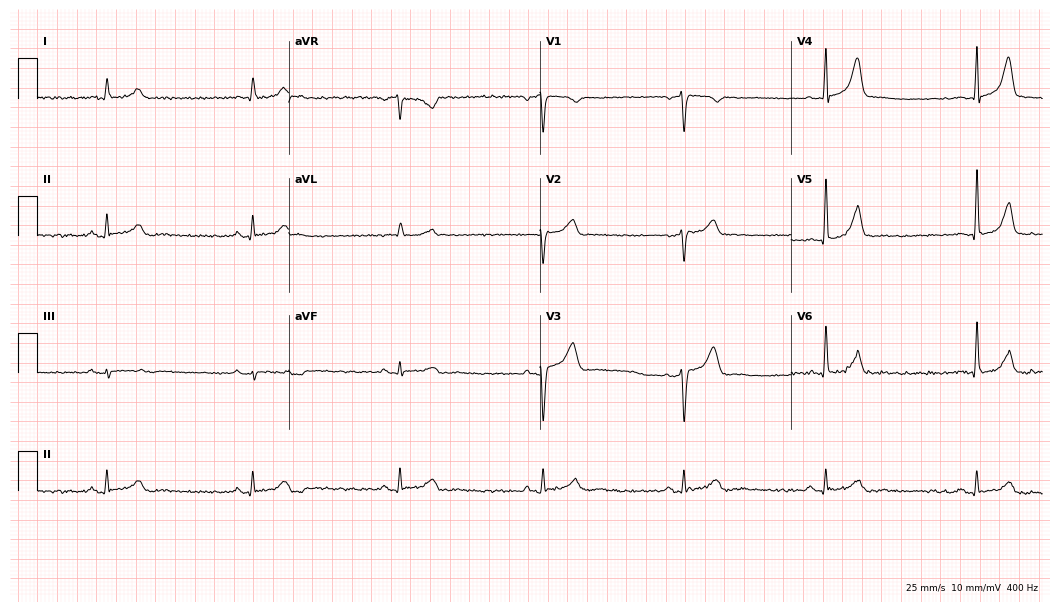
12-lead ECG from a 56-year-old man. Shows sinus bradycardia (a sinus rate of 50 beats per minute or less).